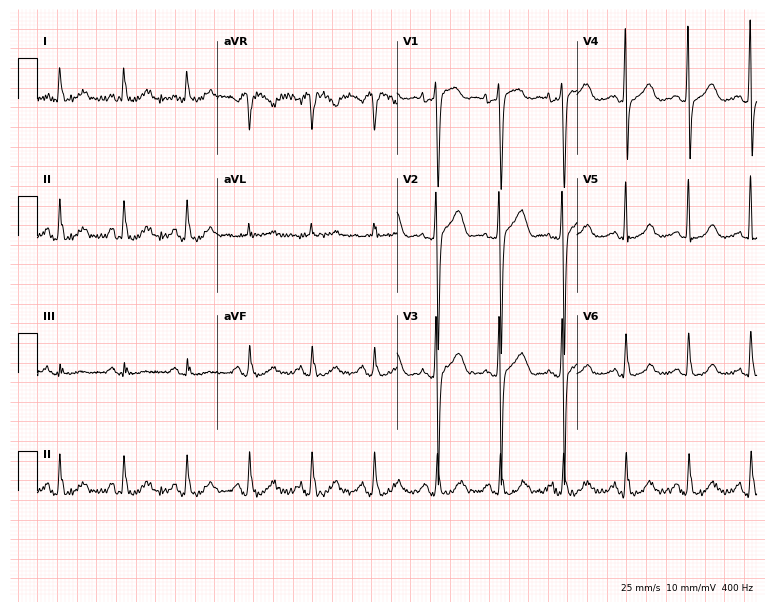
12-lead ECG from a 75-year-old male patient (7.3-second recording at 400 Hz). No first-degree AV block, right bundle branch block (RBBB), left bundle branch block (LBBB), sinus bradycardia, atrial fibrillation (AF) or sinus tachycardia recorded for this tracing.